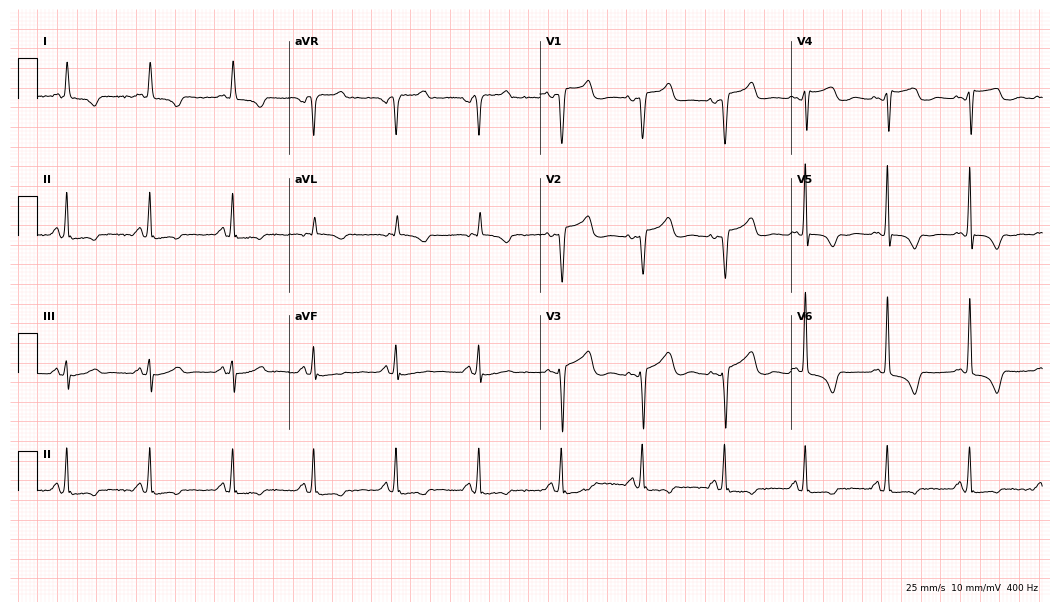
Resting 12-lead electrocardiogram. Patient: an 80-year-old female. None of these six findings is recorded: first-degree AV block, right bundle branch block, left bundle branch block, sinus bradycardia, atrial fibrillation, sinus tachycardia.